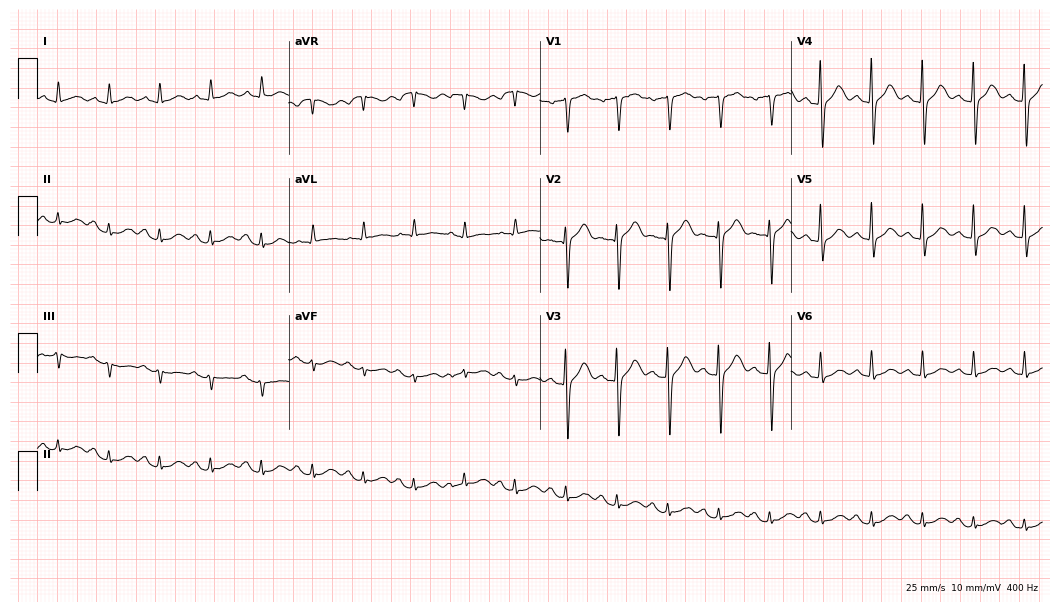
ECG — a 75-year-old male patient. Findings include sinus tachycardia (a sinus rate of 100 beats per minute or more).